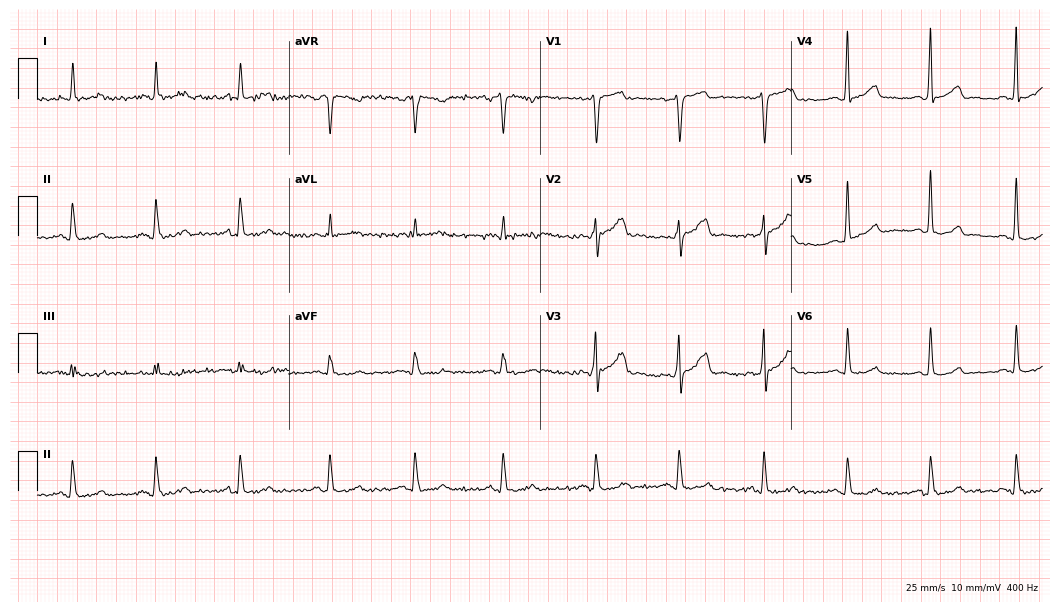
Standard 12-lead ECG recorded from a 48-year-old man. None of these six findings is recorded: first-degree AV block, right bundle branch block (RBBB), left bundle branch block (LBBB), sinus bradycardia, atrial fibrillation (AF), sinus tachycardia. Other findings, if any, are not listed.